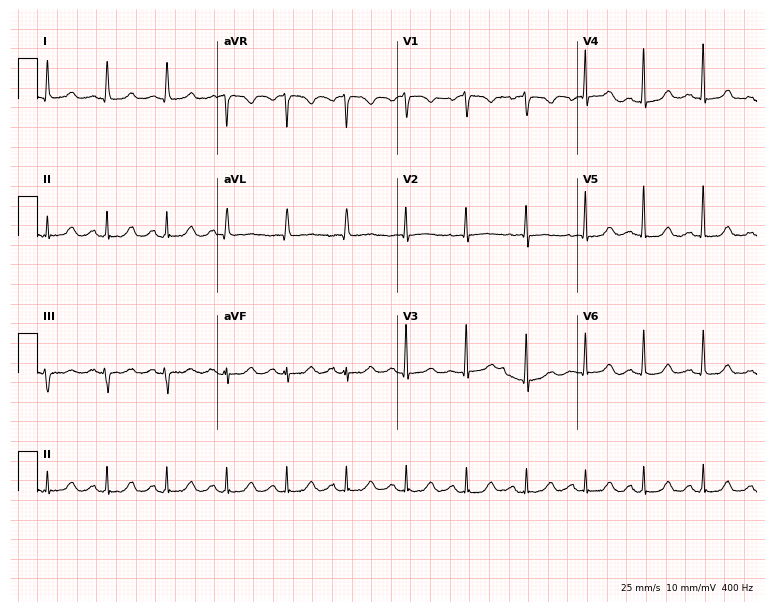
12-lead ECG from a female, 78 years old (7.3-second recording at 400 Hz). Recorded interpretation: within normal limits.